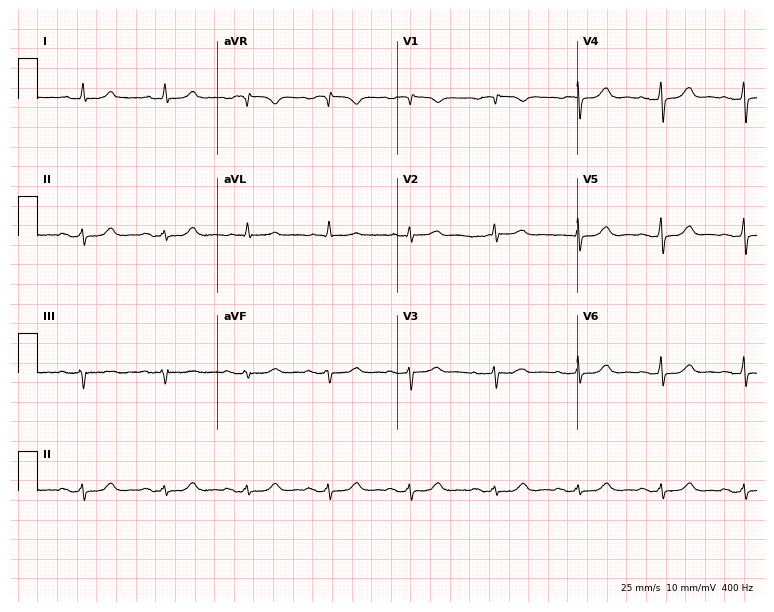
ECG — a female patient, 73 years old. Screened for six findings — first-degree AV block, right bundle branch block, left bundle branch block, sinus bradycardia, atrial fibrillation, sinus tachycardia — none is recorded. Findings outside these six are not listed.